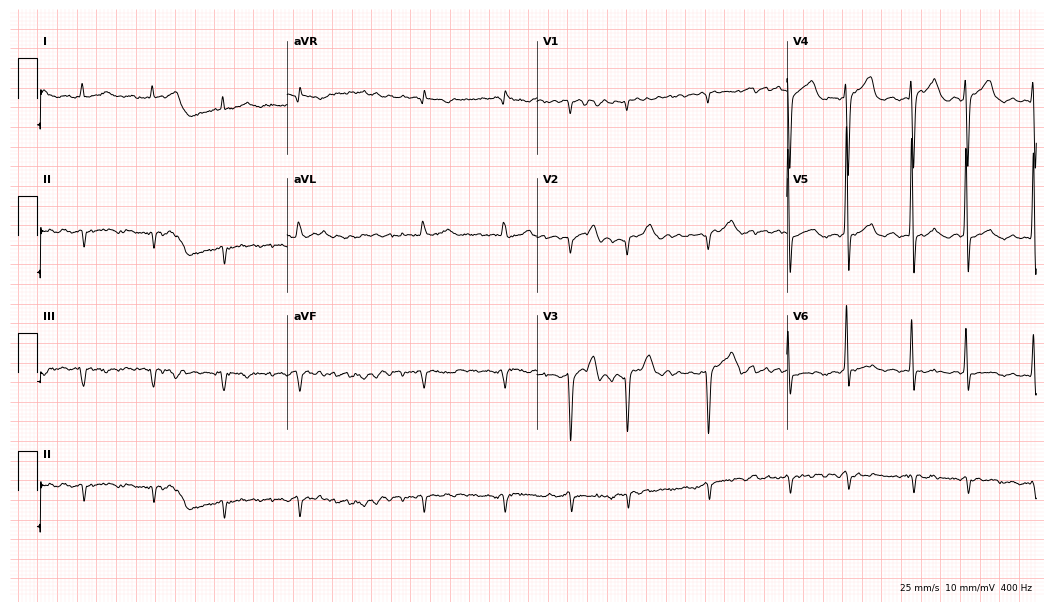
Standard 12-lead ECG recorded from a 75-year-old male patient (10.2-second recording at 400 Hz). The tracing shows atrial fibrillation (AF).